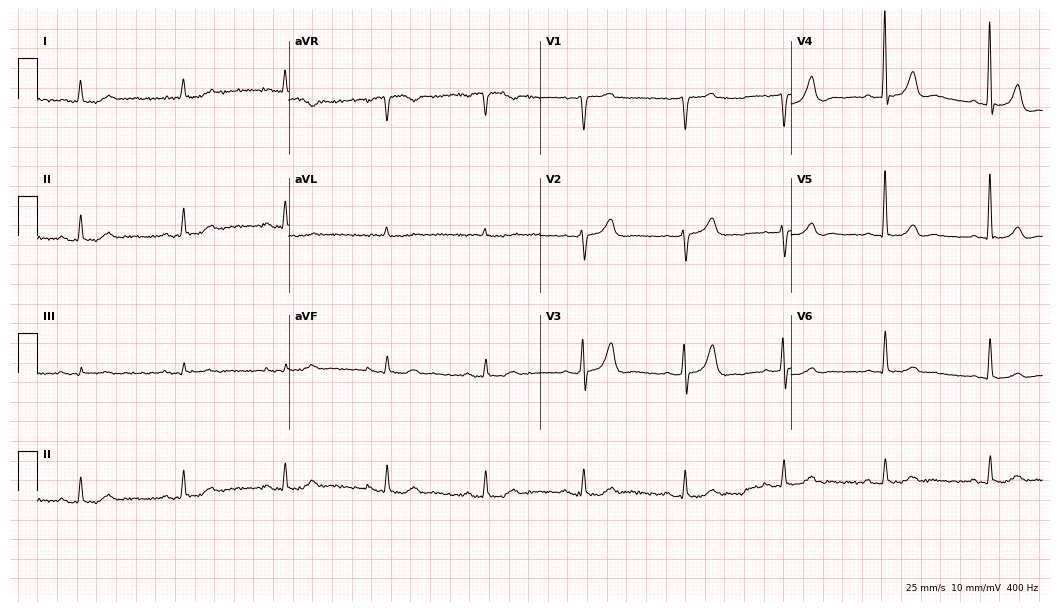
Resting 12-lead electrocardiogram. Patient: a male, 83 years old. Read as a normal ECG.